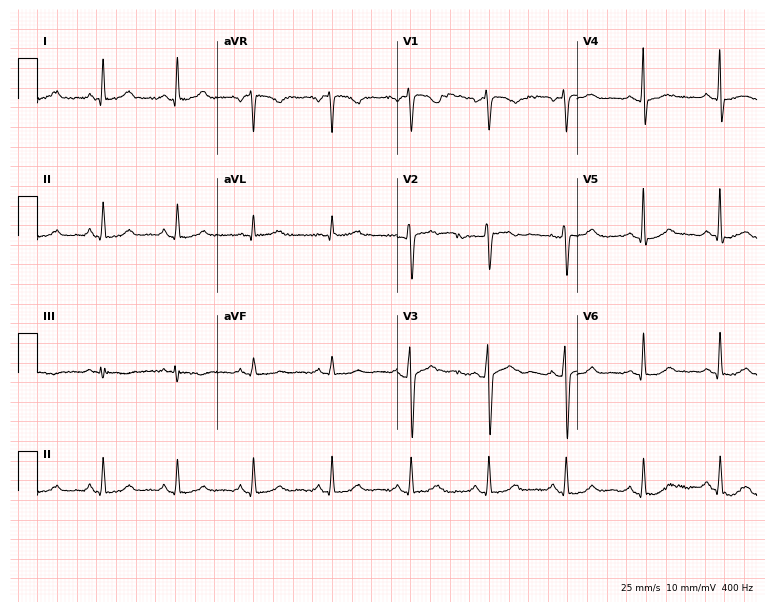
Standard 12-lead ECG recorded from a female patient, 43 years old. Read as a normal ECG.